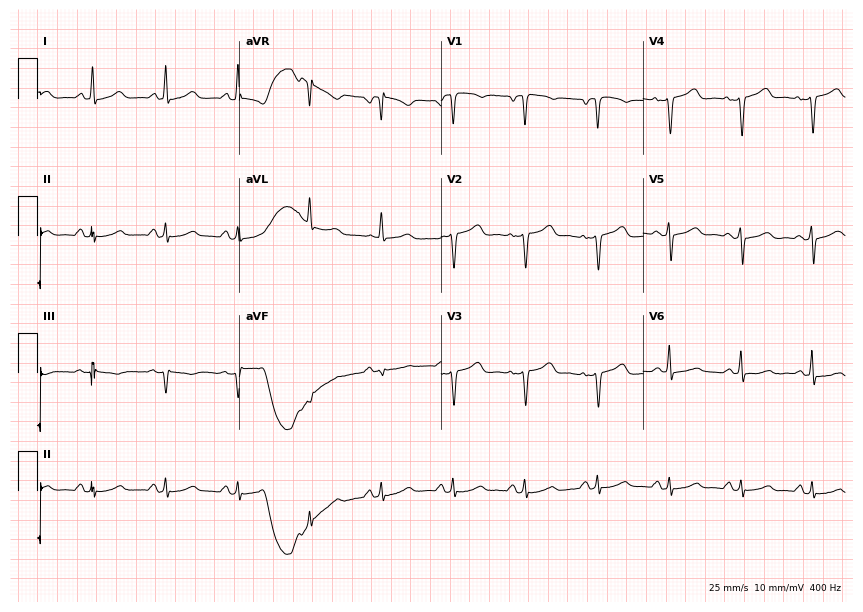
Standard 12-lead ECG recorded from a 44-year-old female. None of these six findings is recorded: first-degree AV block, right bundle branch block (RBBB), left bundle branch block (LBBB), sinus bradycardia, atrial fibrillation (AF), sinus tachycardia.